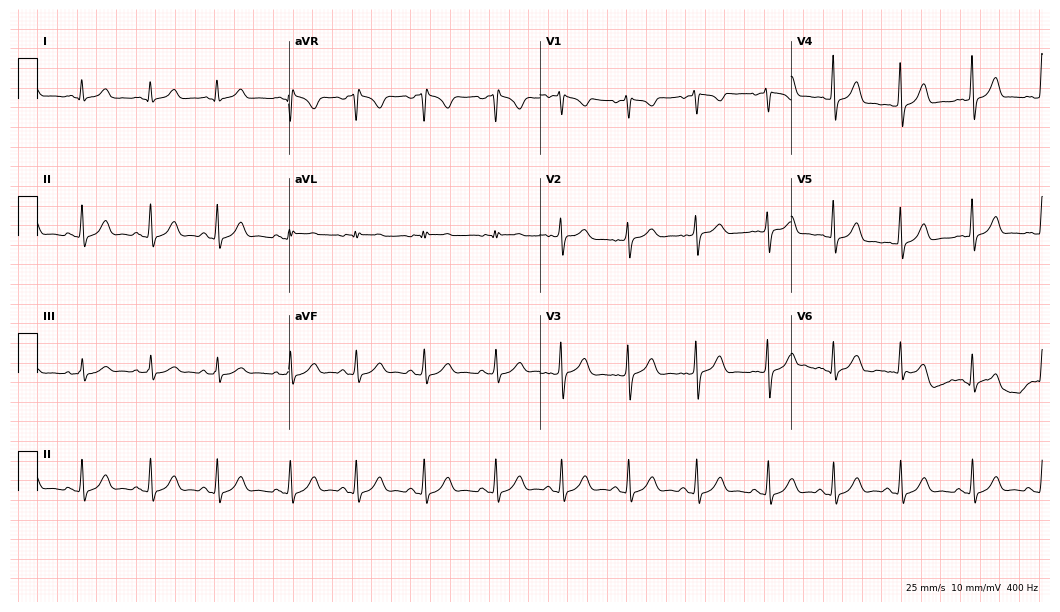
12-lead ECG from a female, 18 years old. Labelled as a normal ECG.